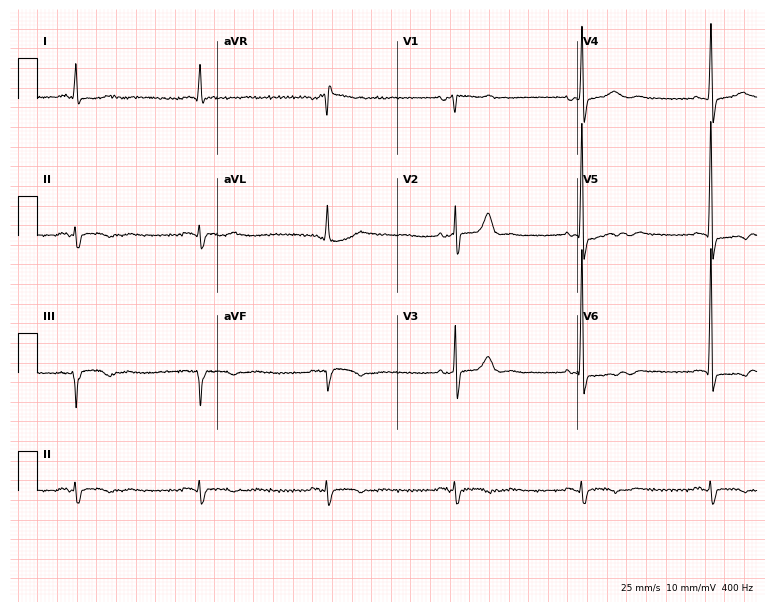
12-lead ECG (7.3-second recording at 400 Hz) from a 68-year-old male. Findings include sinus bradycardia (a sinus rate of 50 beats per minute or less).